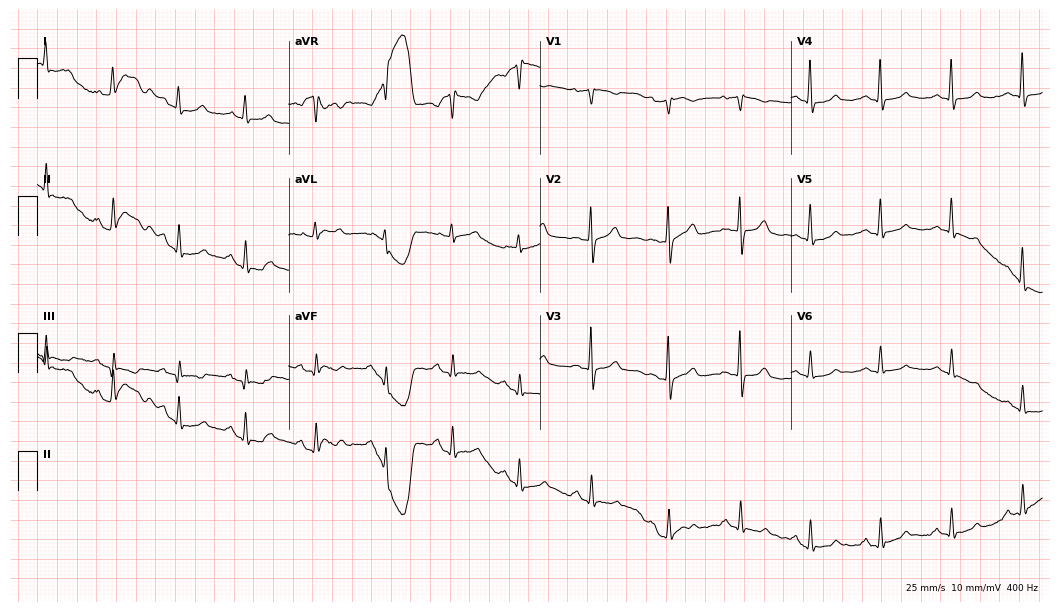
Electrocardiogram, a female patient, 61 years old. Overall reading on record: normal ECG.